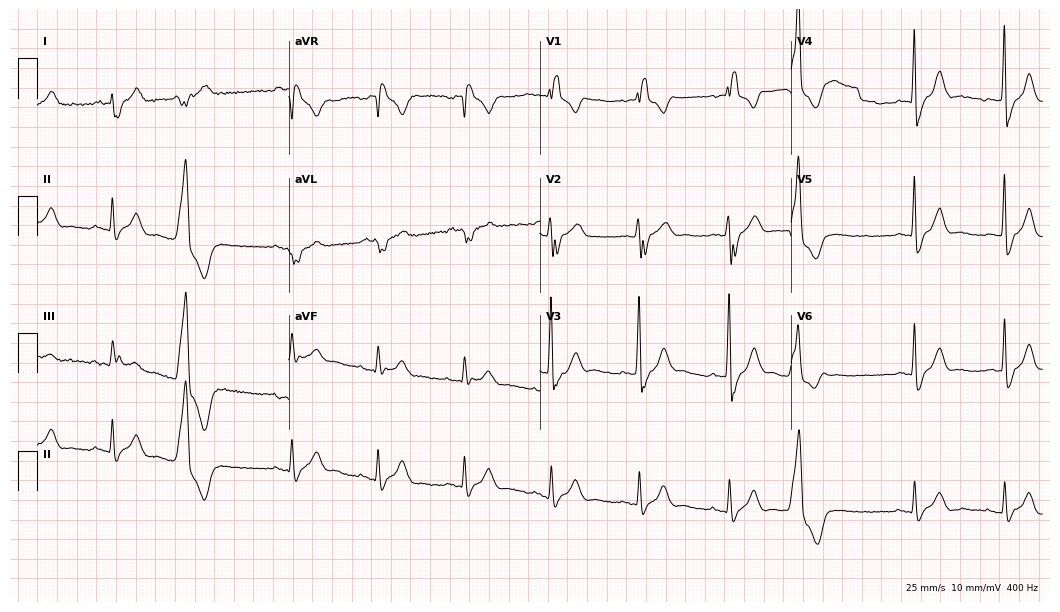
12-lead ECG from a male patient, 73 years old. Shows right bundle branch block.